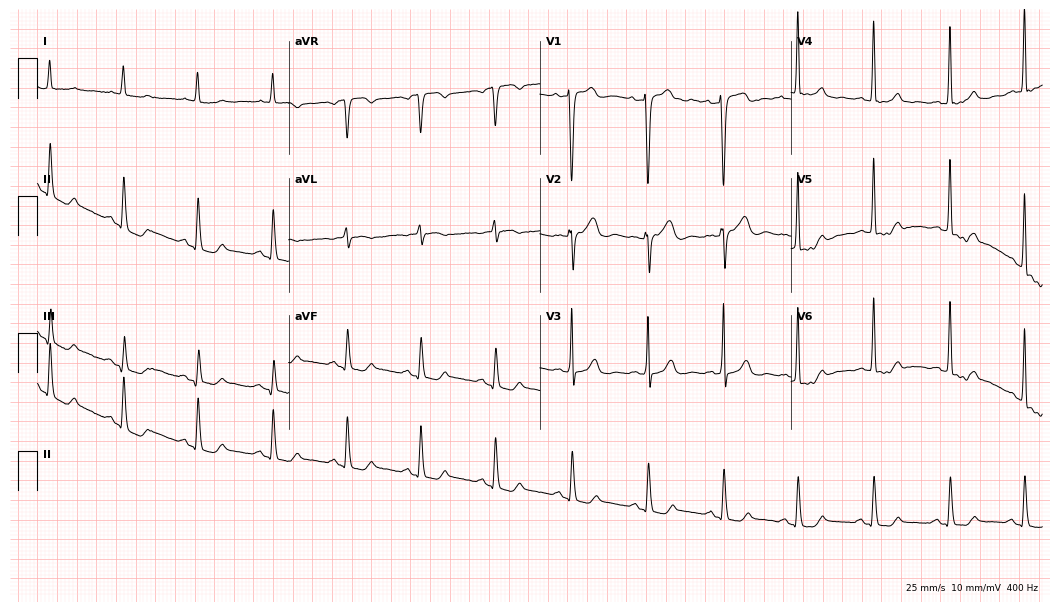
12-lead ECG from an 83-year-old woman. Recorded interpretation: within normal limits.